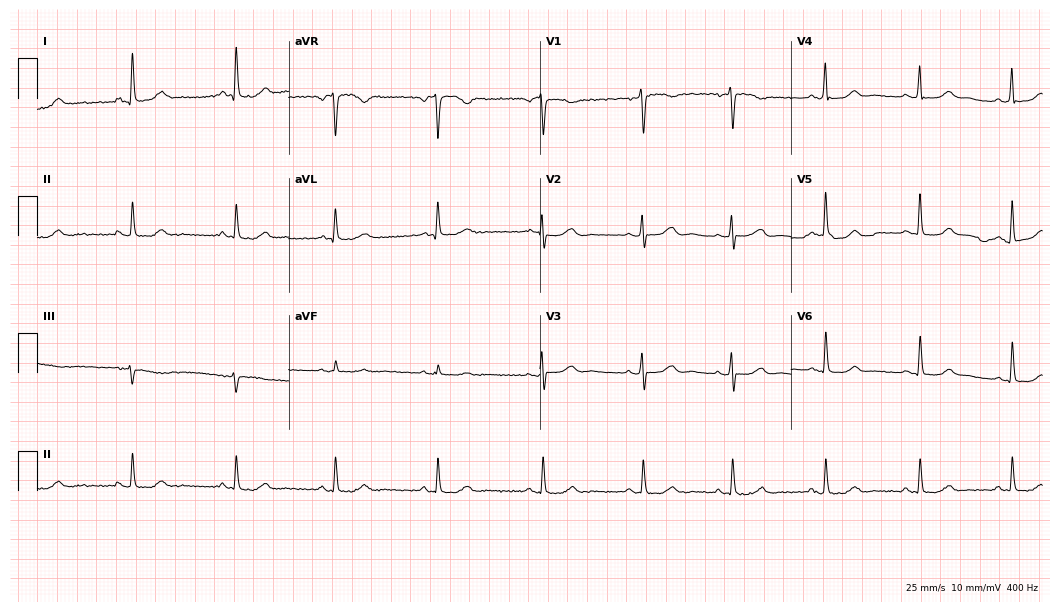
Resting 12-lead electrocardiogram. Patient: a 73-year-old female. Read as a normal ECG.